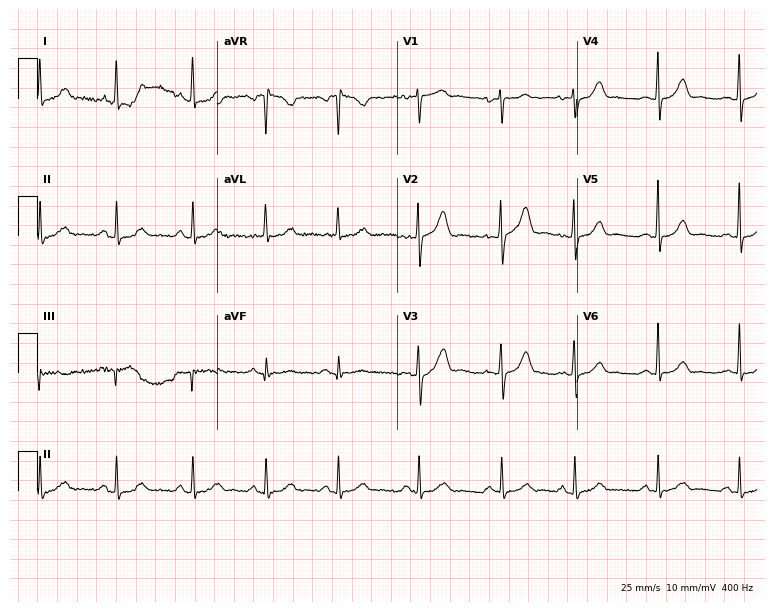
ECG — a female patient, 62 years old. Labelled as a normal ECG.